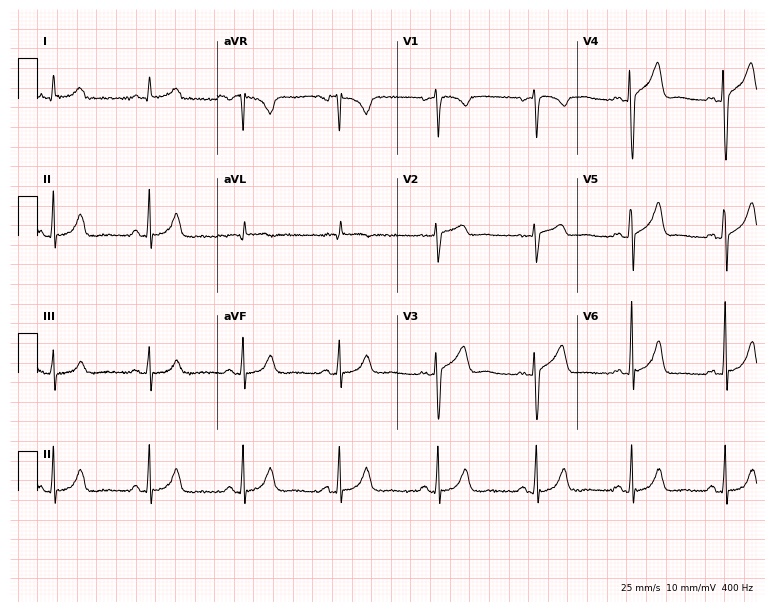
12-lead ECG (7.3-second recording at 400 Hz) from a 50-year-old female. Labelled as a normal ECG.